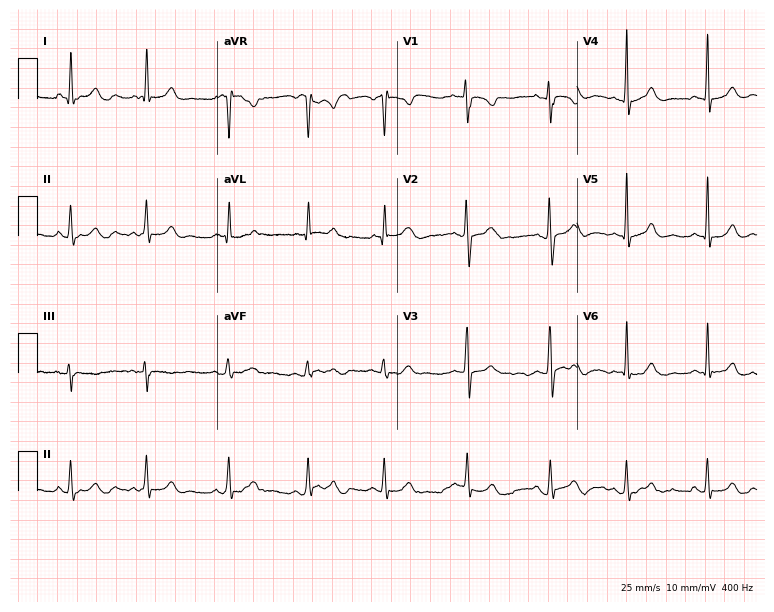
Resting 12-lead electrocardiogram. Patient: an 18-year-old woman. Read as a normal ECG.